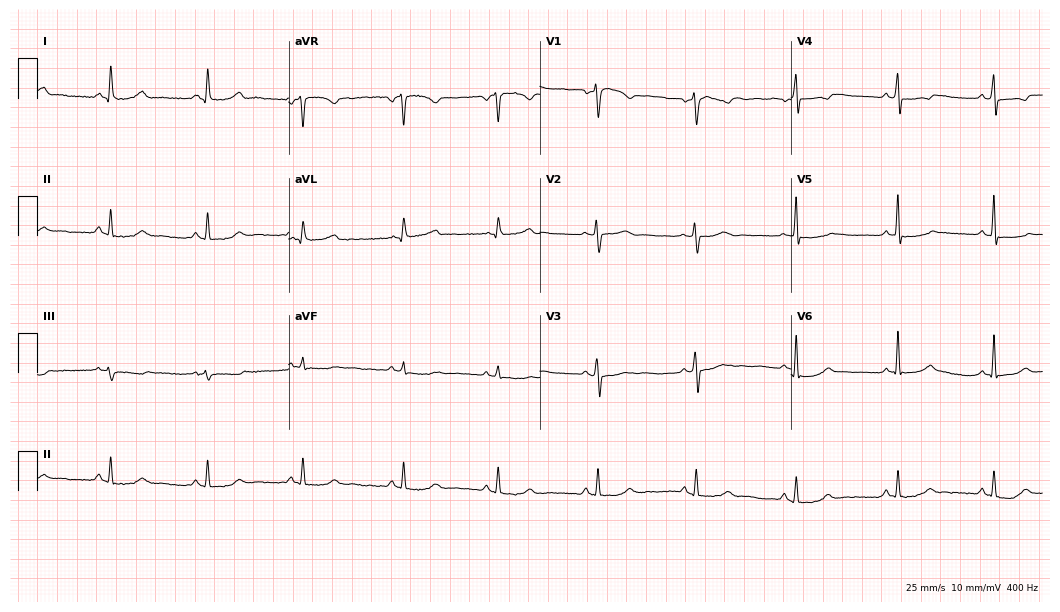
12-lead ECG from a woman, 35 years old (10.2-second recording at 400 Hz). Recorded interpretation: within normal limits.